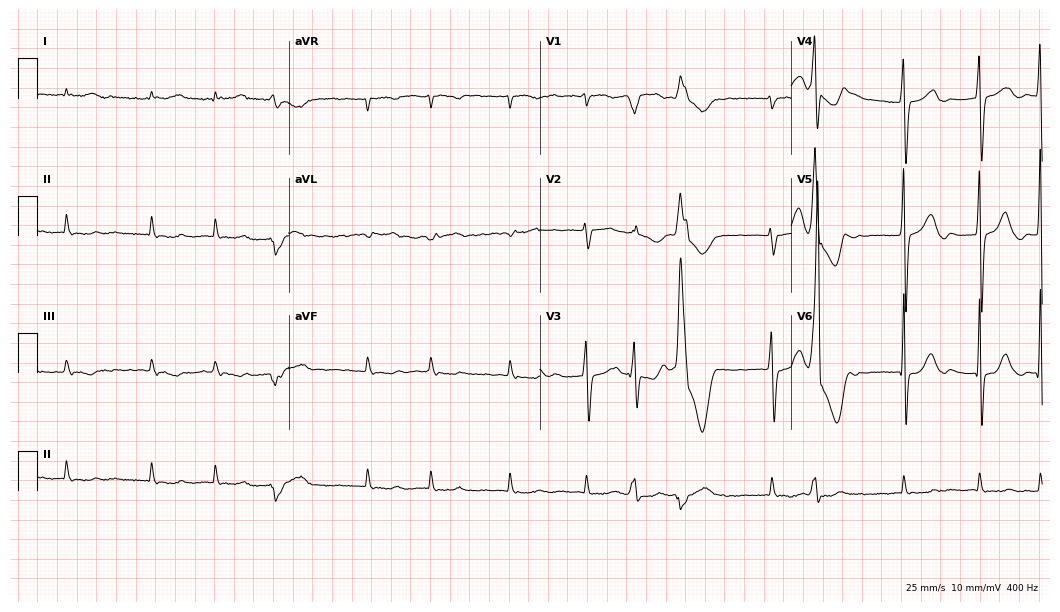
Resting 12-lead electrocardiogram. Patient: a male, 84 years old. The tracing shows atrial fibrillation.